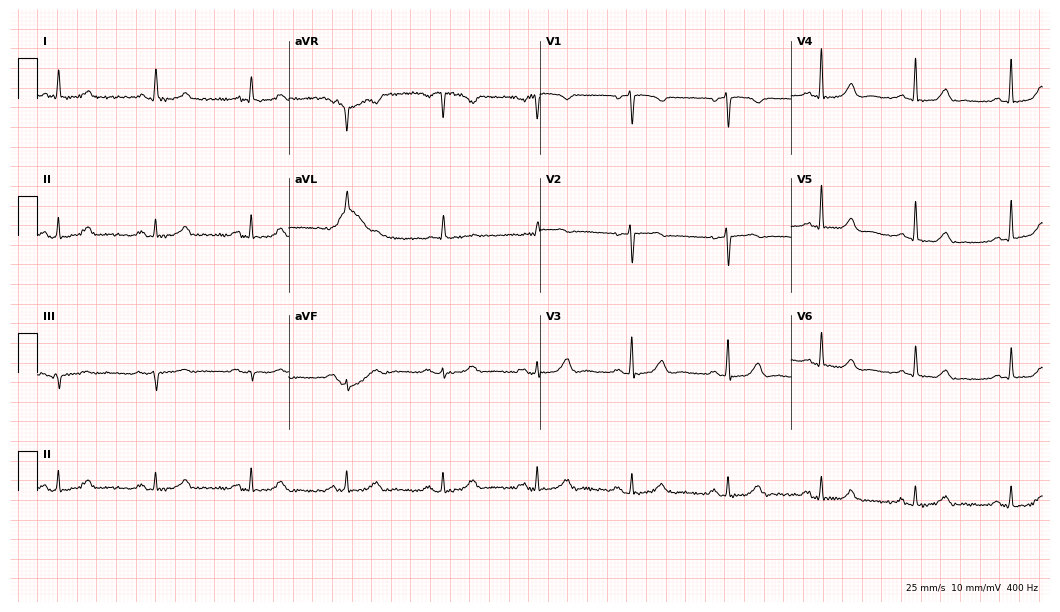
Standard 12-lead ECG recorded from a female, 68 years old. Read as a normal ECG.